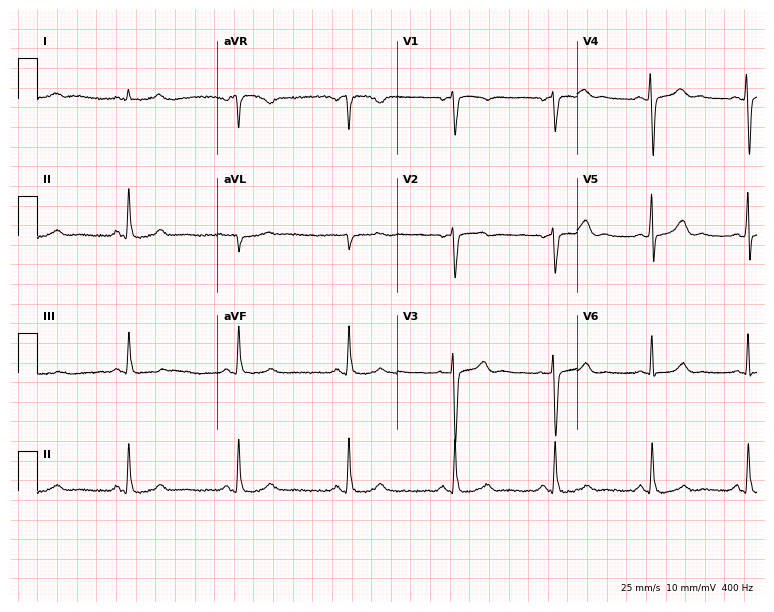
Electrocardiogram (7.3-second recording at 400 Hz), a 45-year-old man. Overall reading on record: normal ECG.